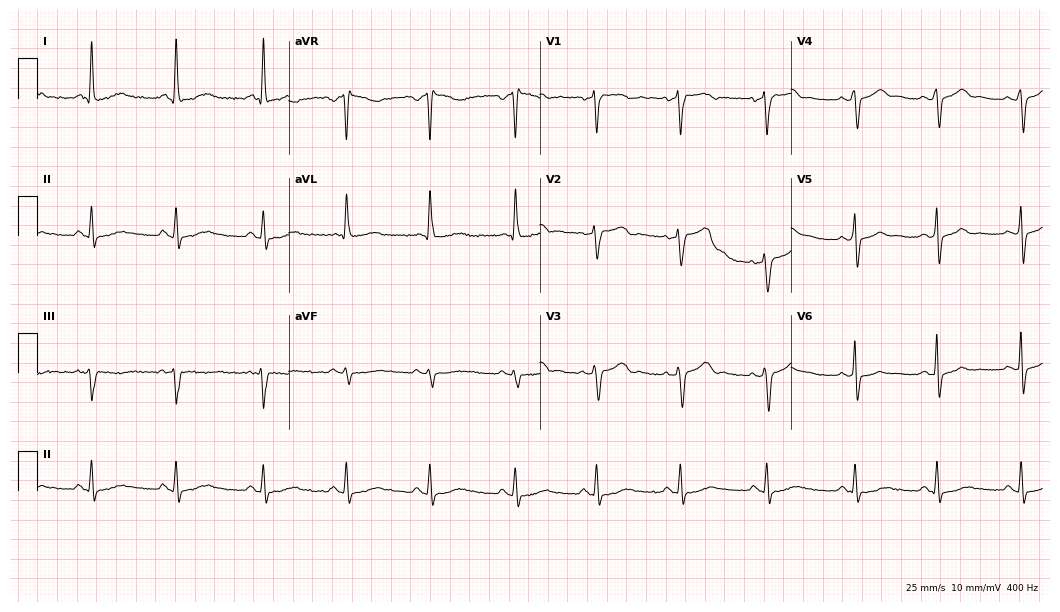
12-lead ECG (10.2-second recording at 400 Hz) from a 60-year-old female. Screened for six findings — first-degree AV block, right bundle branch block, left bundle branch block, sinus bradycardia, atrial fibrillation, sinus tachycardia — none is recorded.